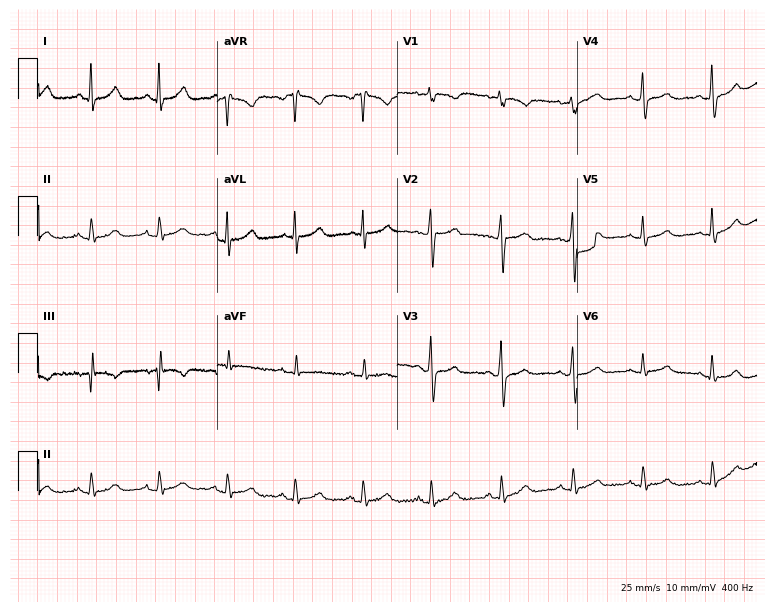
12-lead ECG from a 69-year-old female patient. Labelled as a normal ECG.